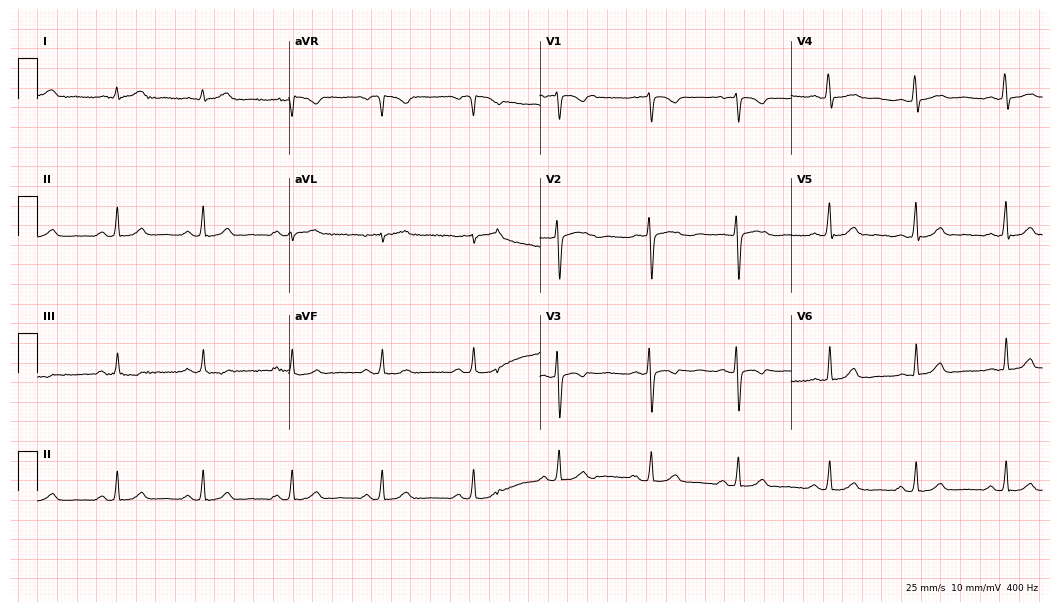
Electrocardiogram, a 31-year-old female patient. Of the six screened findings (first-degree AV block, right bundle branch block, left bundle branch block, sinus bradycardia, atrial fibrillation, sinus tachycardia), none is recorded. Other findings, if any, are not listed.